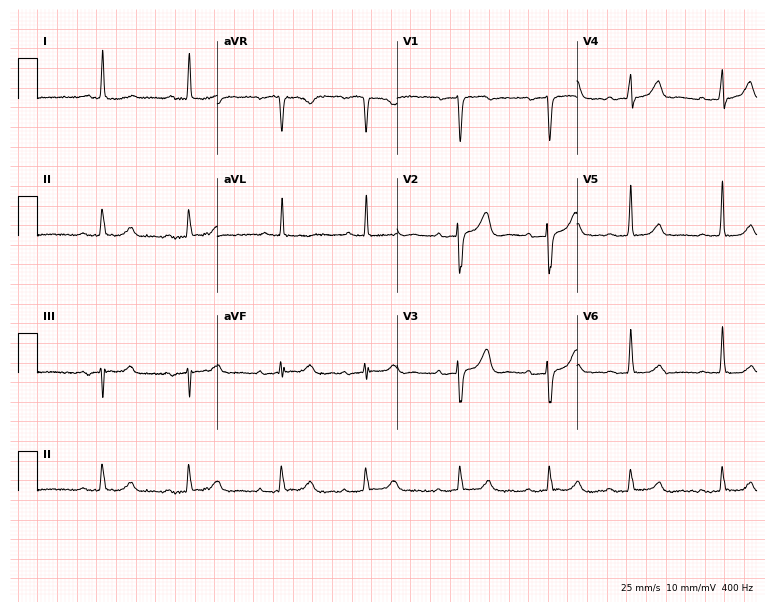
Standard 12-lead ECG recorded from a female patient, 83 years old. Read as a normal ECG.